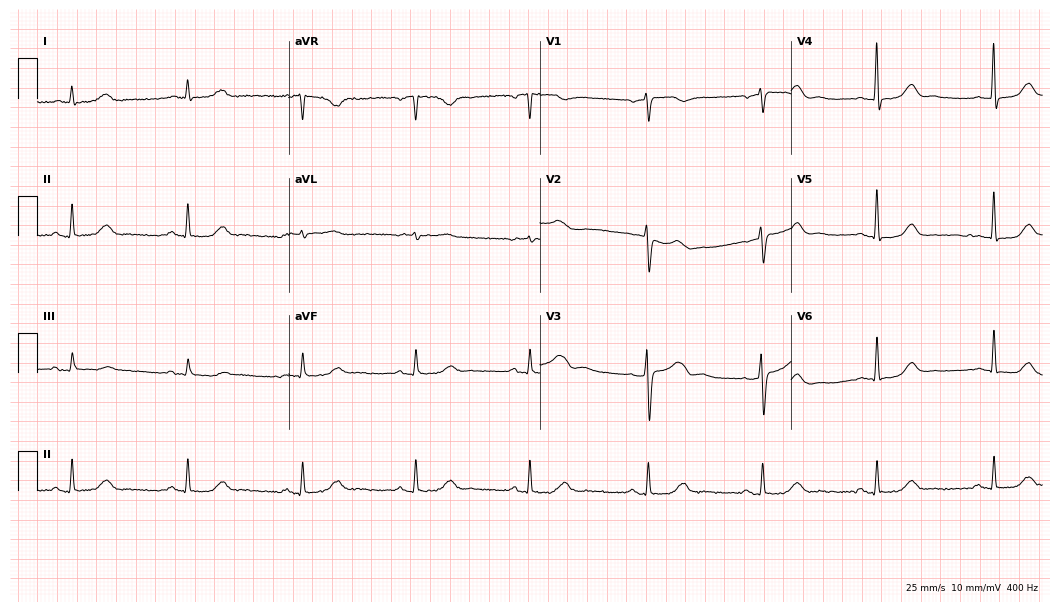
Standard 12-lead ECG recorded from a 65-year-old female. Read as a normal ECG.